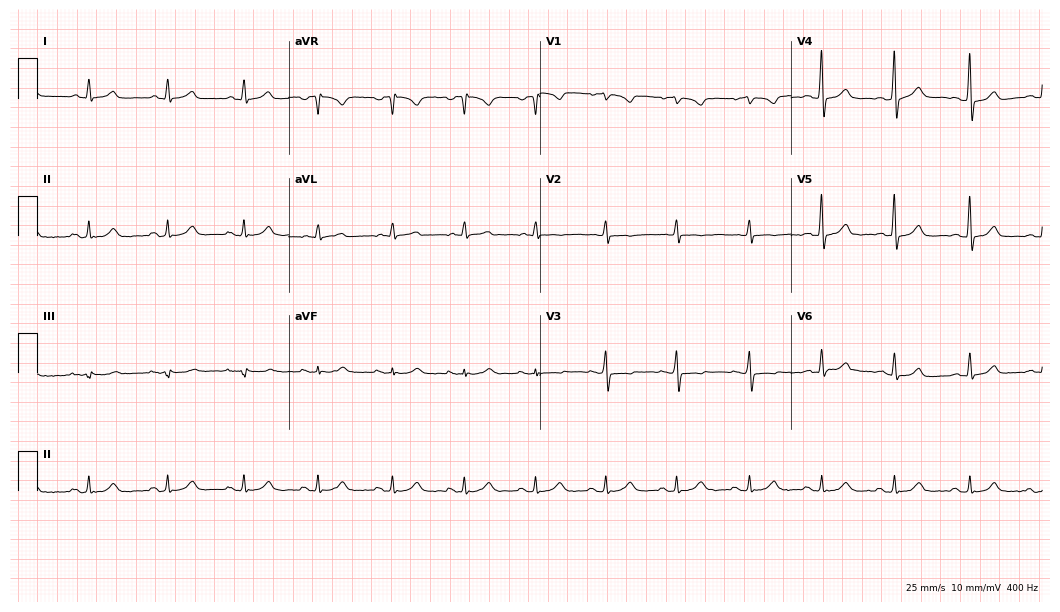
12-lead ECG (10.2-second recording at 400 Hz) from a 51-year-old woman. Screened for six findings — first-degree AV block, right bundle branch block (RBBB), left bundle branch block (LBBB), sinus bradycardia, atrial fibrillation (AF), sinus tachycardia — none is recorded. Only these six findings were labelled.